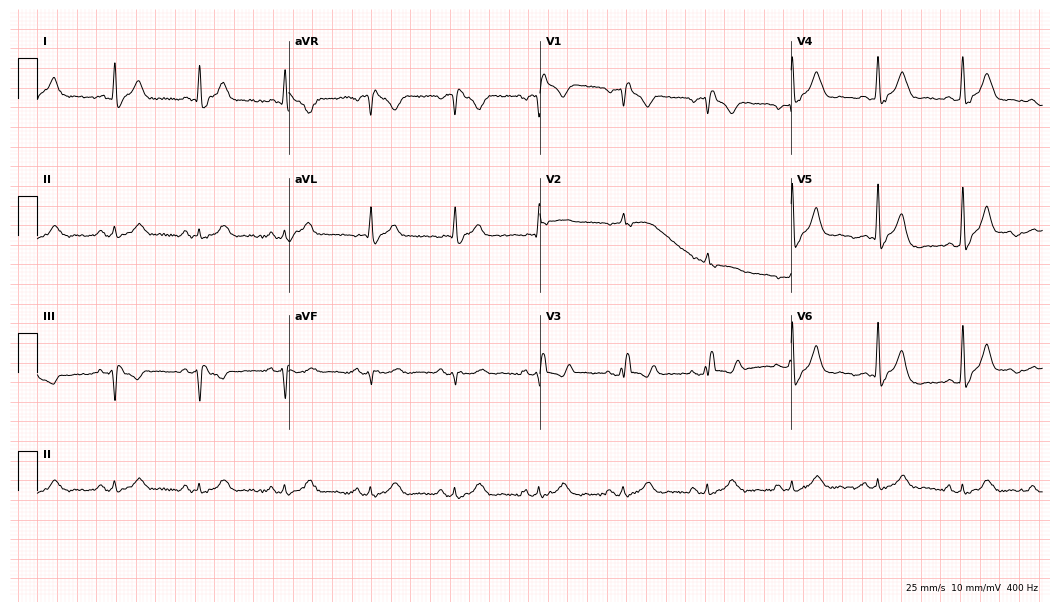
ECG (10.2-second recording at 400 Hz) — a 76-year-old male. Findings include right bundle branch block.